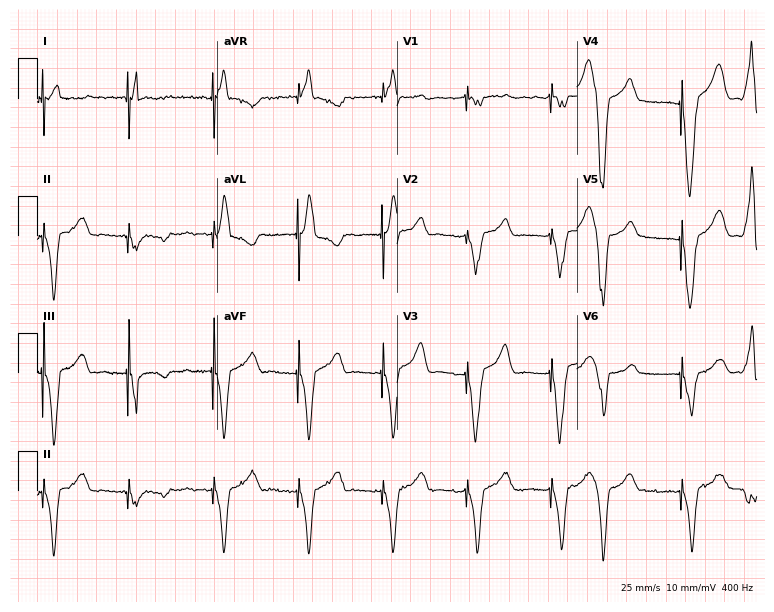
Resting 12-lead electrocardiogram (7.3-second recording at 400 Hz). Patient: a female, 69 years old. None of these six findings is recorded: first-degree AV block, right bundle branch block, left bundle branch block, sinus bradycardia, atrial fibrillation, sinus tachycardia. Only these six findings were labelled.